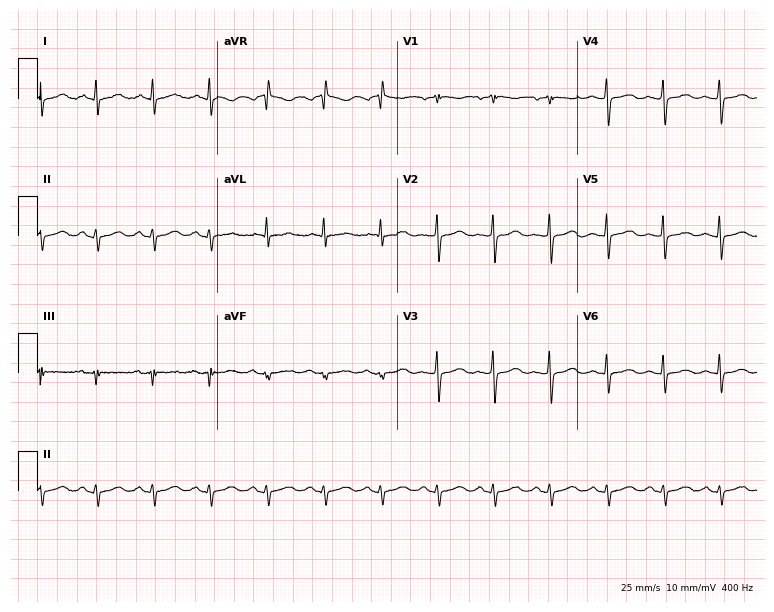
Resting 12-lead electrocardiogram. Patient: a female, 46 years old. None of these six findings is recorded: first-degree AV block, right bundle branch block, left bundle branch block, sinus bradycardia, atrial fibrillation, sinus tachycardia. Other findings, if any, are not listed.